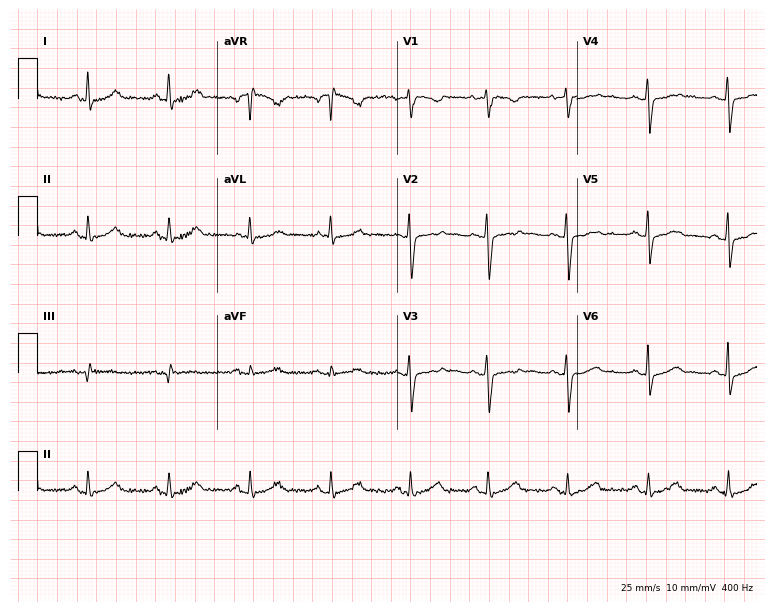
Electrocardiogram (7.3-second recording at 400 Hz), a 34-year-old woman. Overall reading on record: normal ECG.